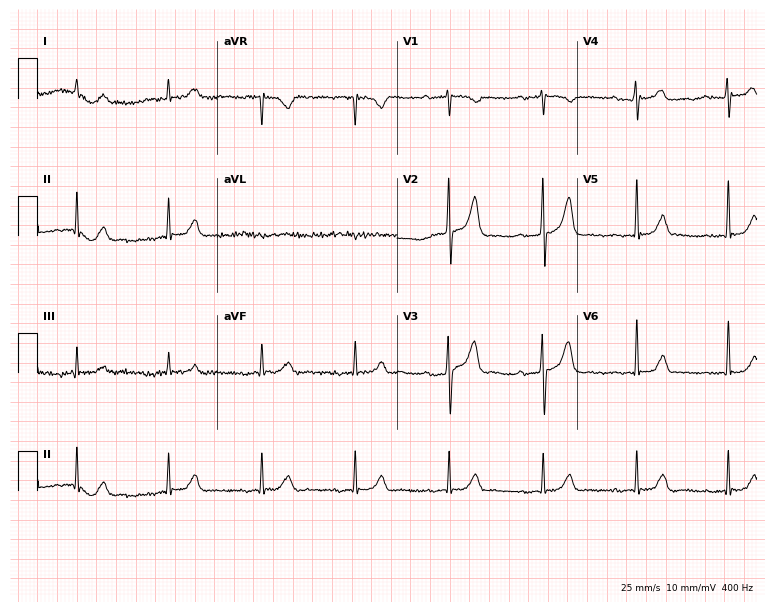
Resting 12-lead electrocardiogram. Patient: a 67-year-old male. None of these six findings is recorded: first-degree AV block, right bundle branch block, left bundle branch block, sinus bradycardia, atrial fibrillation, sinus tachycardia. Findings outside these six are not listed.